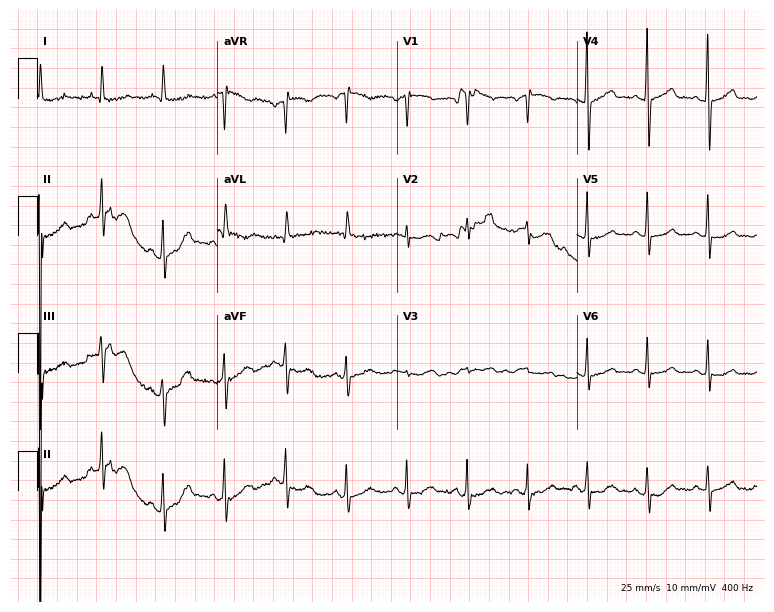
ECG (7.3-second recording at 400 Hz) — a 77-year-old woman. Screened for six findings — first-degree AV block, right bundle branch block, left bundle branch block, sinus bradycardia, atrial fibrillation, sinus tachycardia — none is recorded. Other findings, if any, are not listed.